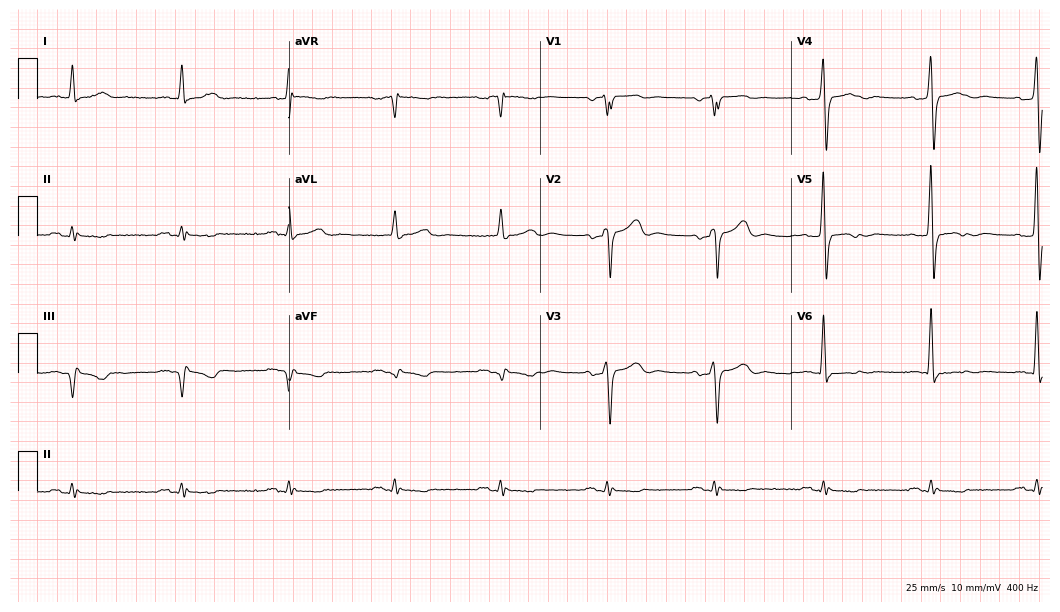
12-lead ECG from a 64-year-old male (10.2-second recording at 400 Hz). No first-degree AV block, right bundle branch block, left bundle branch block, sinus bradycardia, atrial fibrillation or sinus tachycardia recorded for this tracing.